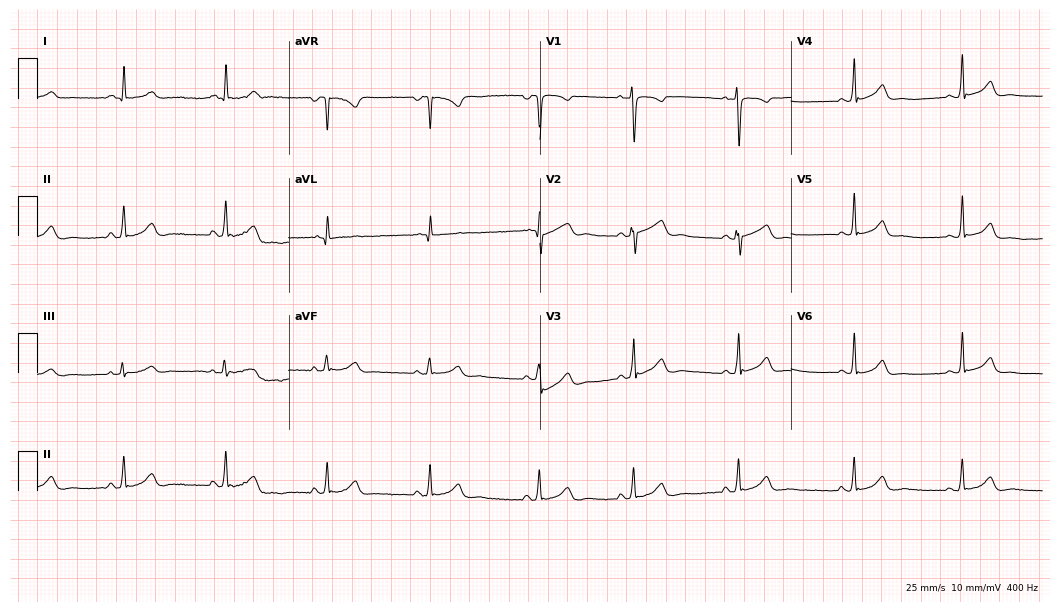
Resting 12-lead electrocardiogram (10.2-second recording at 400 Hz). Patient: a 21-year-old female. Read as a normal ECG.